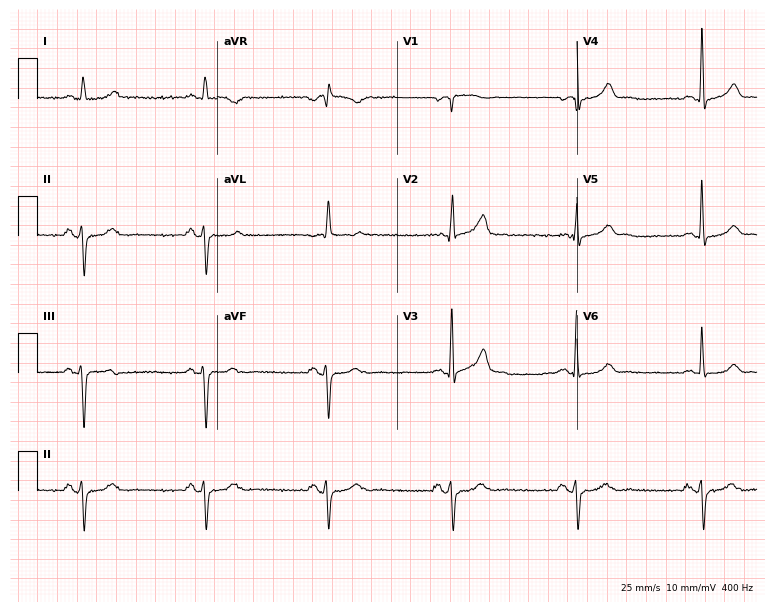
12-lead ECG (7.3-second recording at 400 Hz) from a 75-year-old man. Findings include sinus bradycardia (a sinus rate of 50 beats per minute or less).